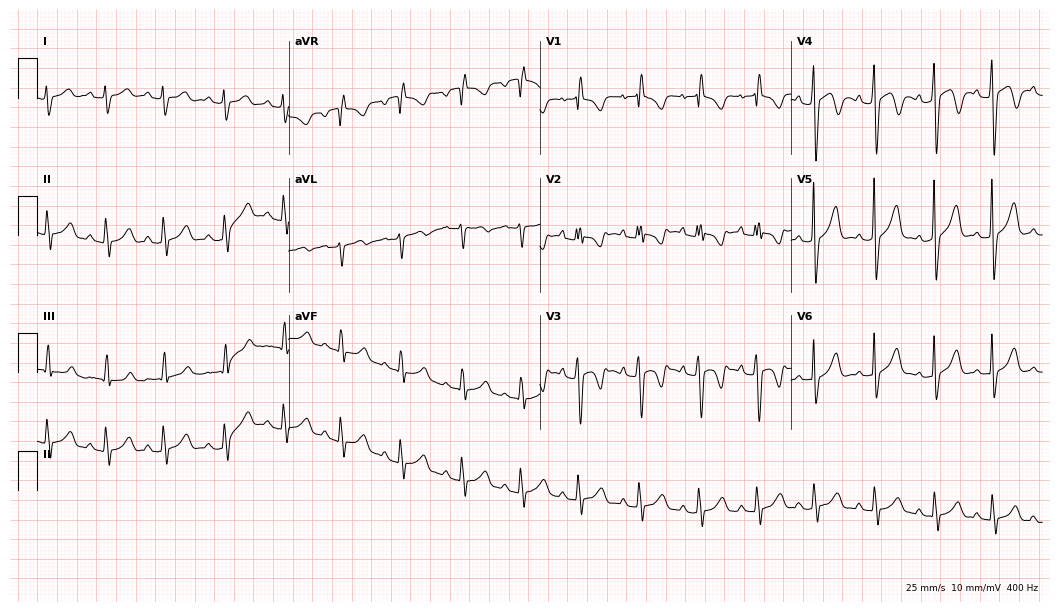
Standard 12-lead ECG recorded from a 30-year-old female patient (10.2-second recording at 400 Hz). None of these six findings is recorded: first-degree AV block, right bundle branch block, left bundle branch block, sinus bradycardia, atrial fibrillation, sinus tachycardia. Findings outside these six are not listed.